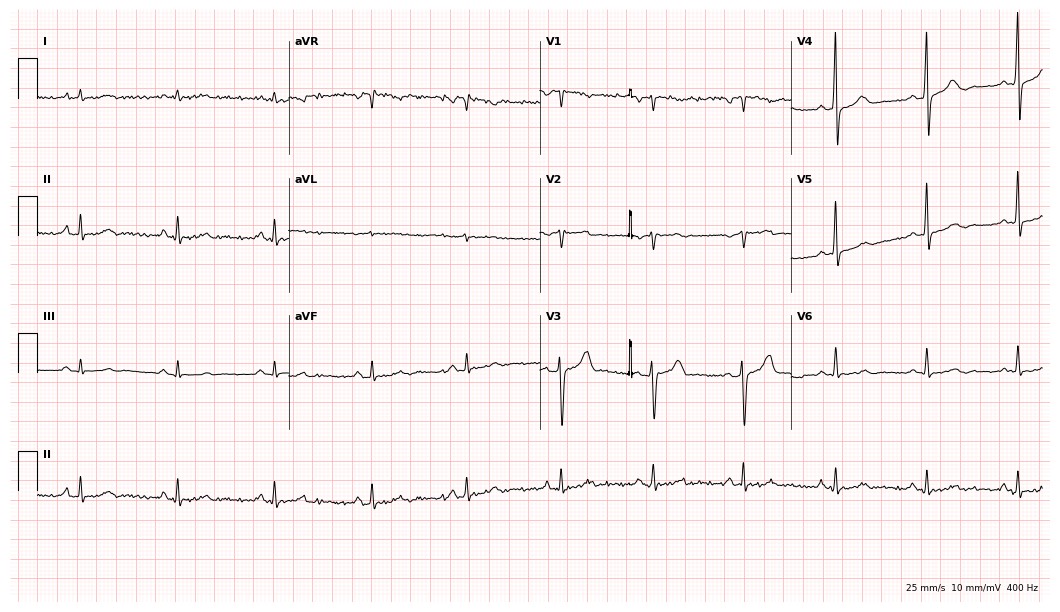
Standard 12-lead ECG recorded from a 61-year-old male (10.2-second recording at 400 Hz). None of these six findings is recorded: first-degree AV block, right bundle branch block, left bundle branch block, sinus bradycardia, atrial fibrillation, sinus tachycardia. Only these six findings were labelled.